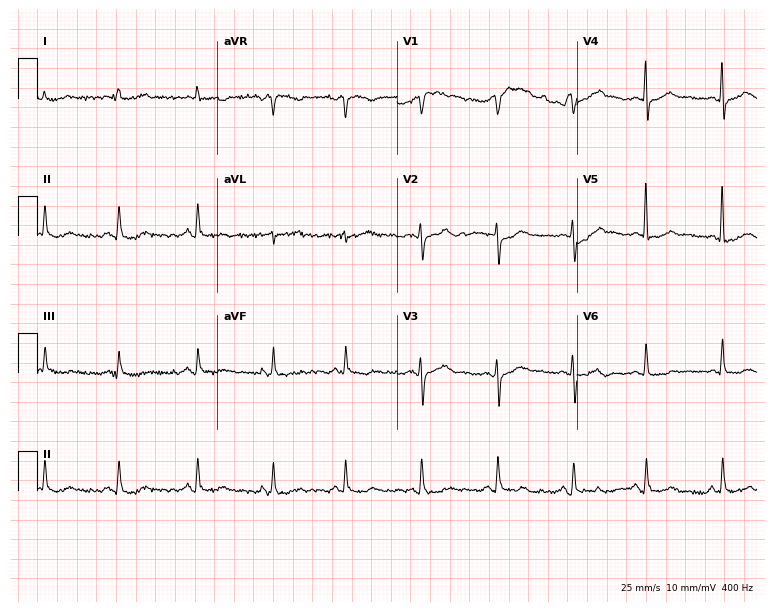
12-lead ECG (7.3-second recording at 400 Hz) from a female, 50 years old. Labelled as a normal ECG.